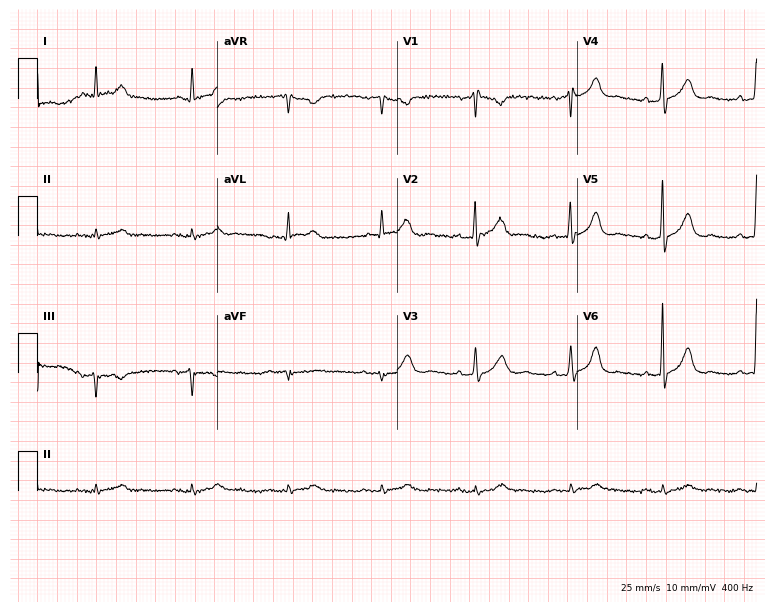
Electrocardiogram (7.3-second recording at 400 Hz), a 75-year-old male patient. Overall reading on record: normal ECG.